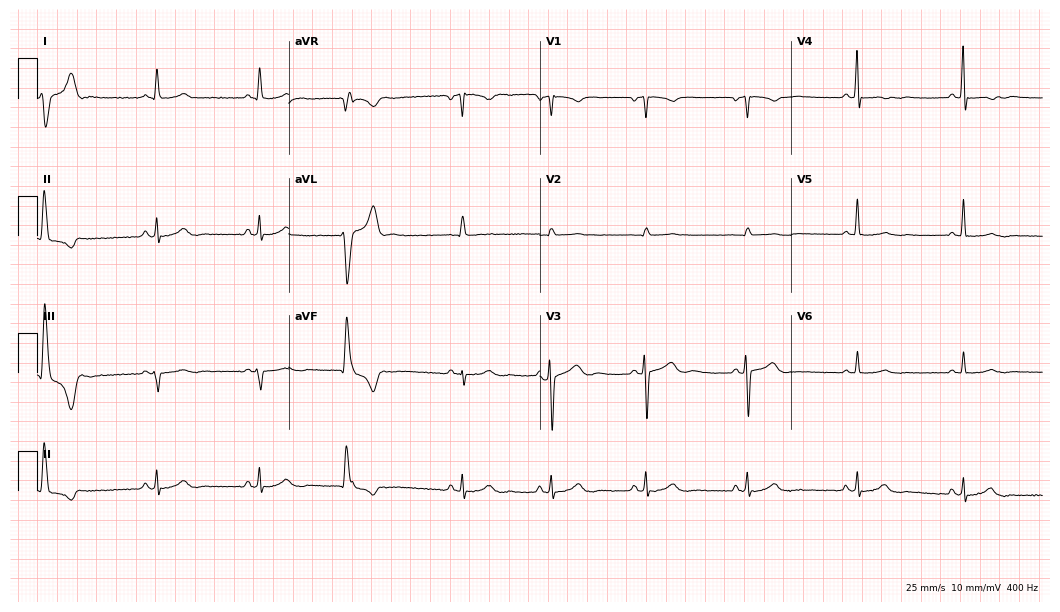
ECG — a 40-year-old male patient. Screened for six findings — first-degree AV block, right bundle branch block, left bundle branch block, sinus bradycardia, atrial fibrillation, sinus tachycardia — none is recorded. Only these six findings were labelled.